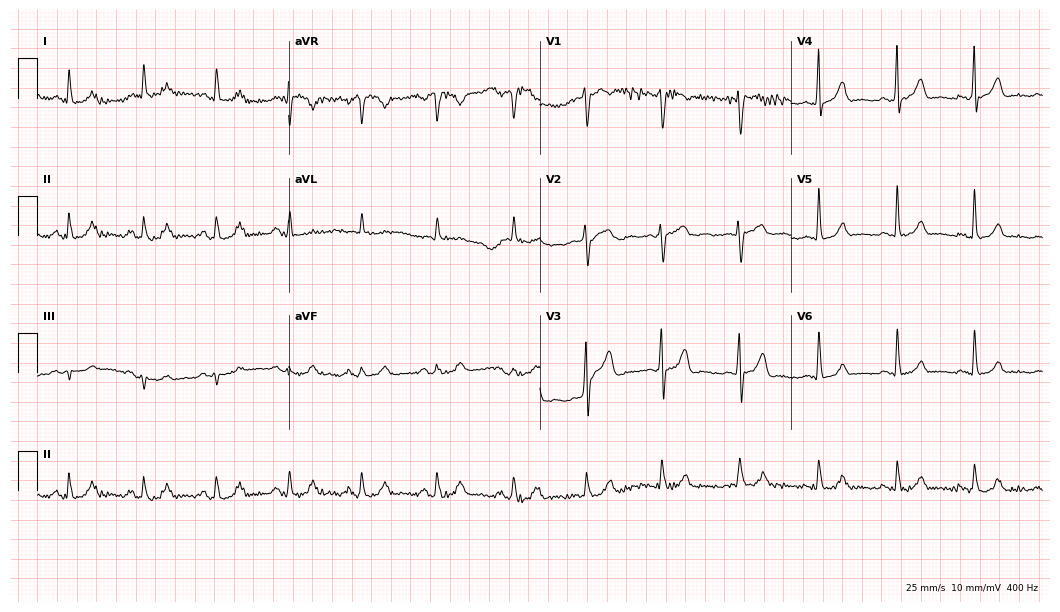
12-lead ECG from a 57-year-old male (10.2-second recording at 400 Hz). No first-degree AV block, right bundle branch block, left bundle branch block, sinus bradycardia, atrial fibrillation or sinus tachycardia recorded for this tracing.